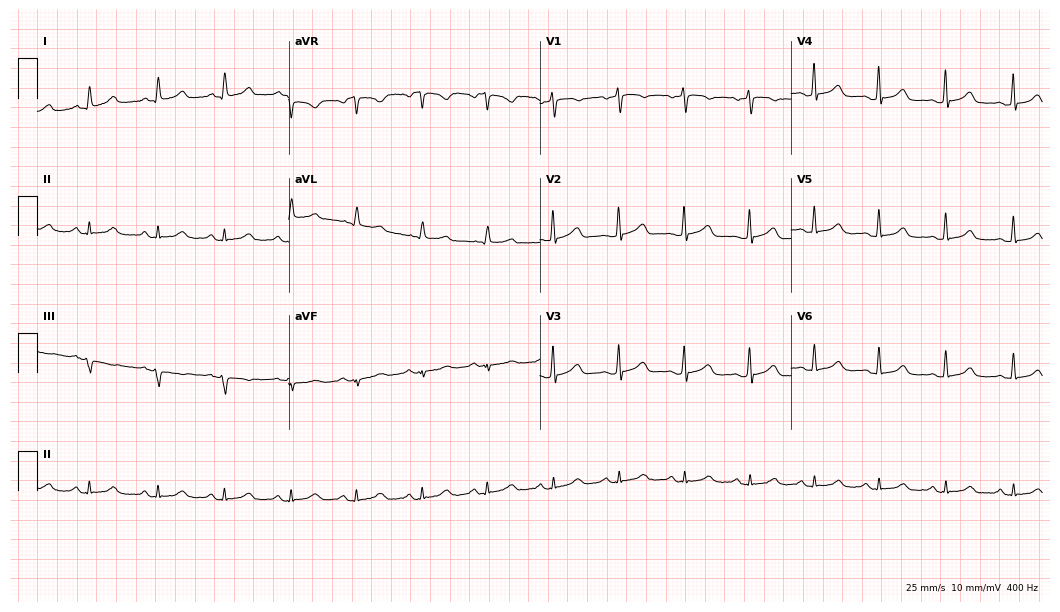
Resting 12-lead electrocardiogram. Patient: a 58-year-old female. Read as a normal ECG.